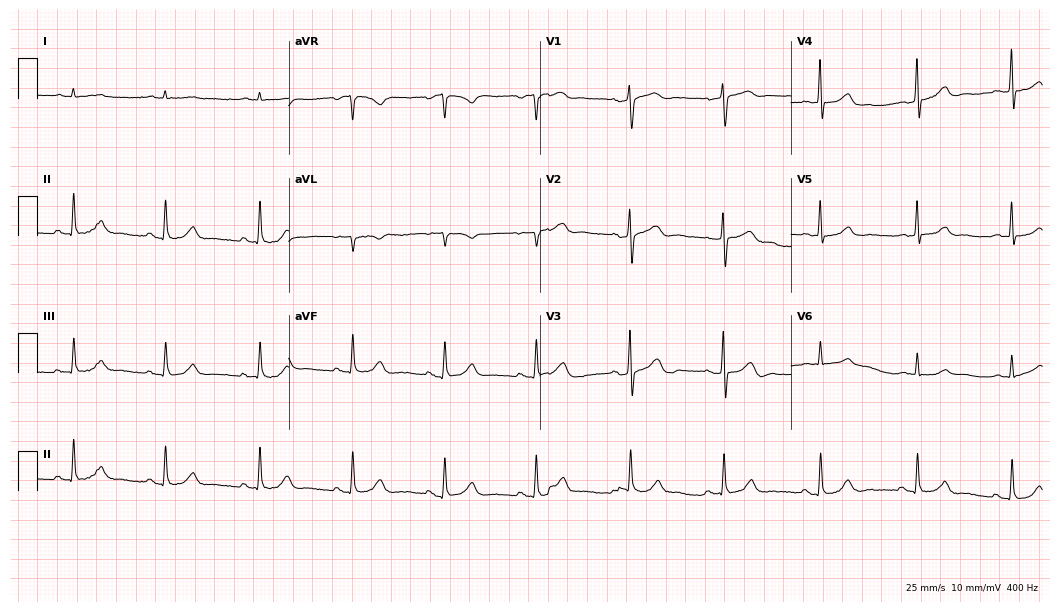
Electrocardiogram, a 77-year-old man. Overall reading on record: normal ECG.